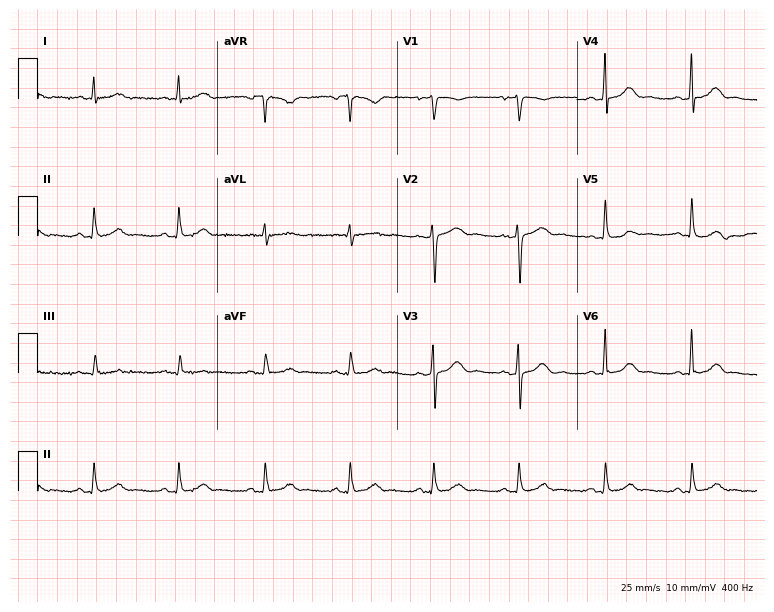
ECG (7.3-second recording at 400 Hz) — a 52-year-old female. Labelled as a normal ECG.